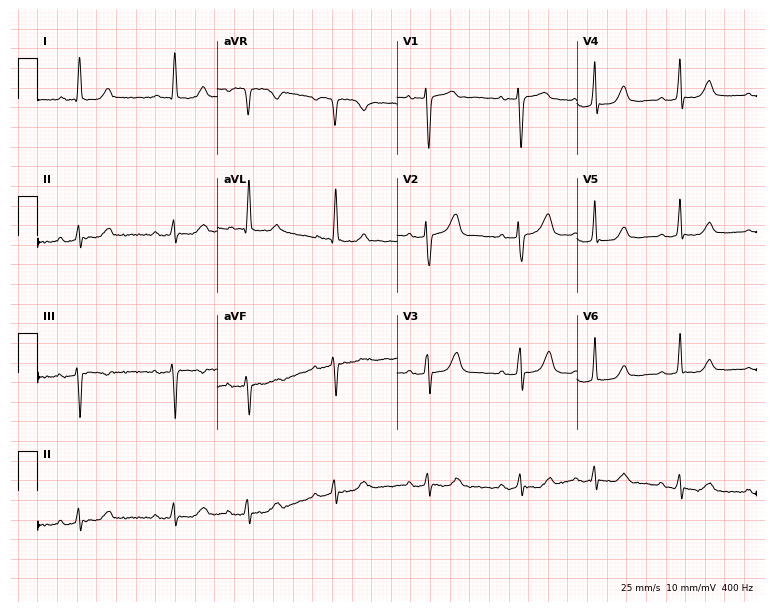
Standard 12-lead ECG recorded from a 77-year-old woman. None of these six findings is recorded: first-degree AV block, right bundle branch block (RBBB), left bundle branch block (LBBB), sinus bradycardia, atrial fibrillation (AF), sinus tachycardia. Findings outside these six are not listed.